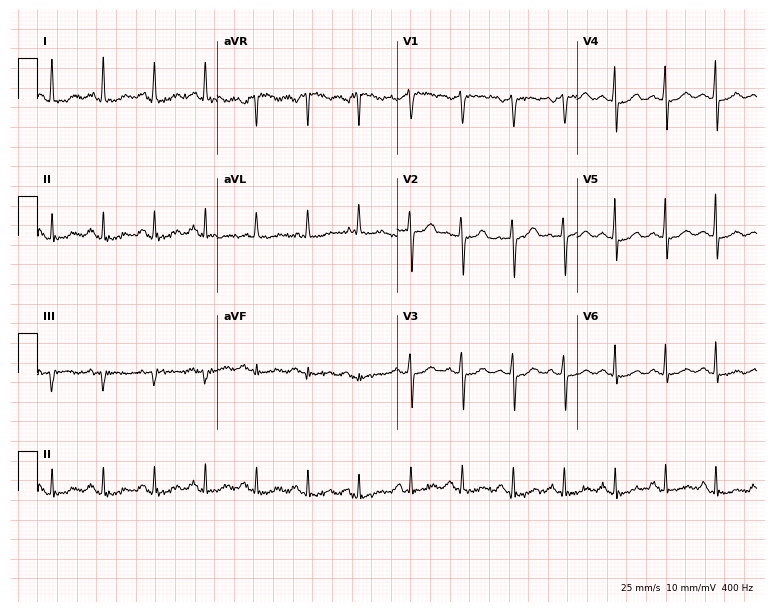
12-lead ECG (7.3-second recording at 400 Hz) from a 56-year-old woman. Findings include sinus tachycardia (a sinus rate of 100 beats per minute or more).